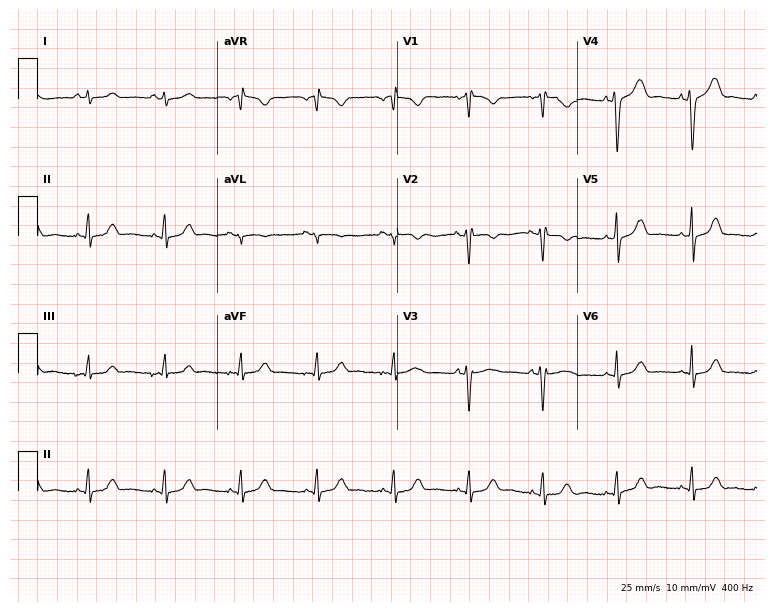
ECG — a woman, 31 years old. Labelled as a normal ECG.